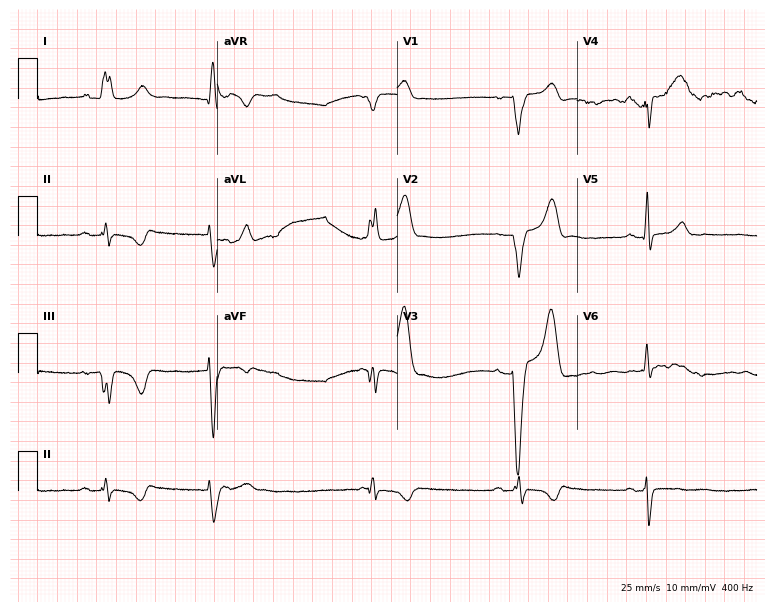
Standard 12-lead ECG recorded from a female patient, 47 years old. None of these six findings is recorded: first-degree AV block, right bundle branch block, left bundle branch block, sinus bradycardia, atrial fibrillation, sinus tachycardia. Only these six findings were labelled.